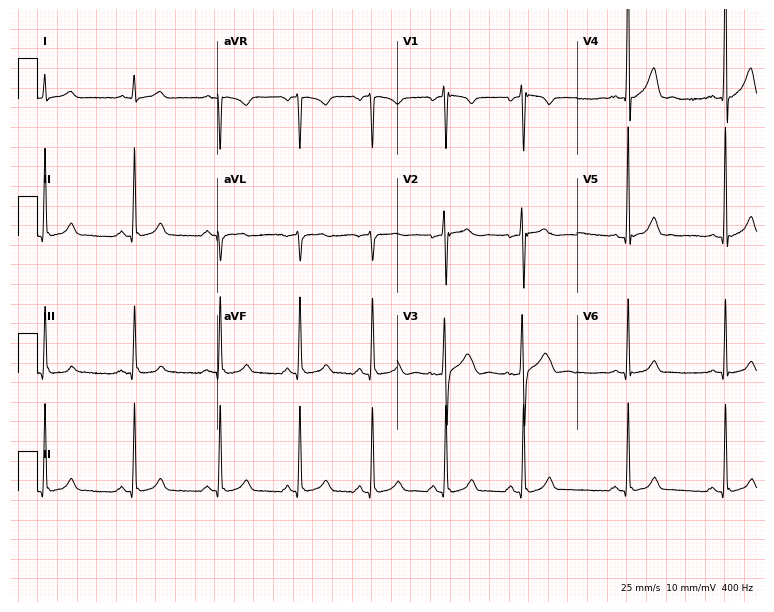
ECG — a male patient, 40 years old. Screened for six findings — first-degree AV block, right bundle branch block, left bundle branch block, sinus bradycardia, atrial fibrillation, sinus tachycardia — none is recorded. Findings outside these six are not listed.